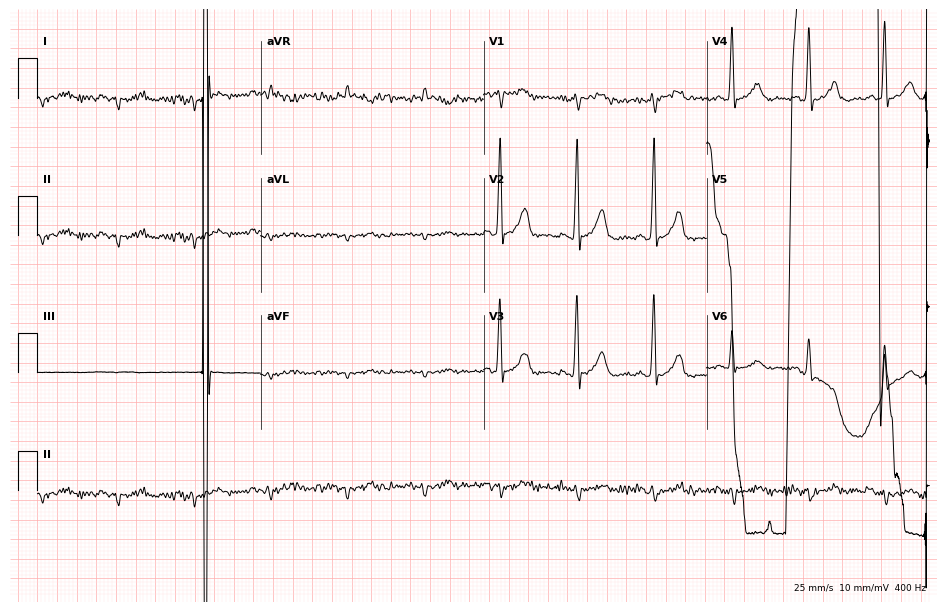
12-lead ECG from an 82-year-old male patient. Screened for six findings — first-degree AV block, right bundle branch block, left bundle branch block, sinus bradycardia, atrial fibrillation, sinus tachycardia — none is recorded.